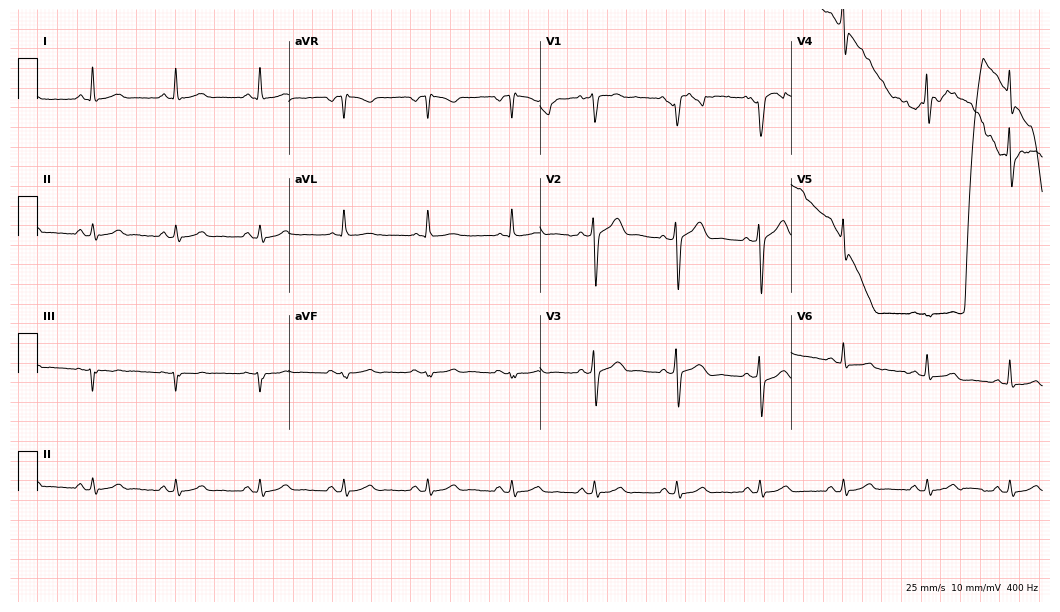
12-lead ECG (10.2-second recording at 400 Hz) from a male patient, 41 years old. Labelled as a normal ECG.